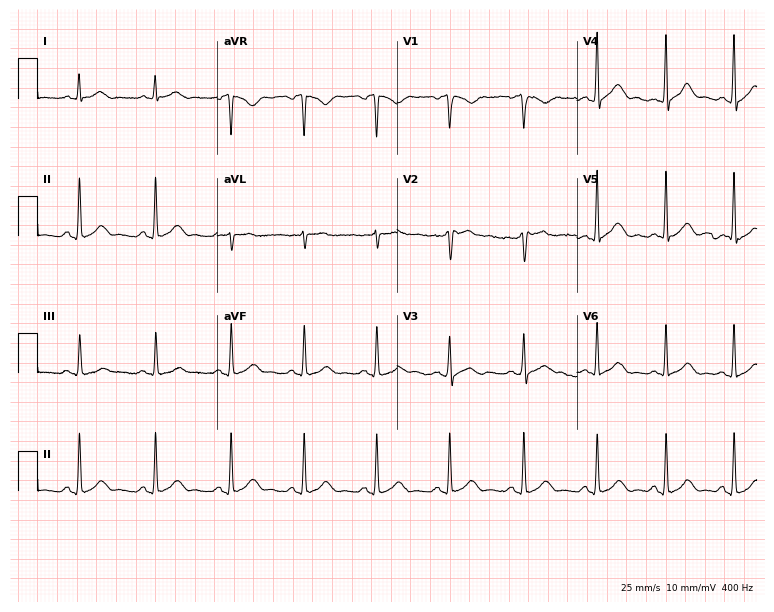
Standard 12-lead ECG recorded from a male, 31 years old. Read as a normal ECG.